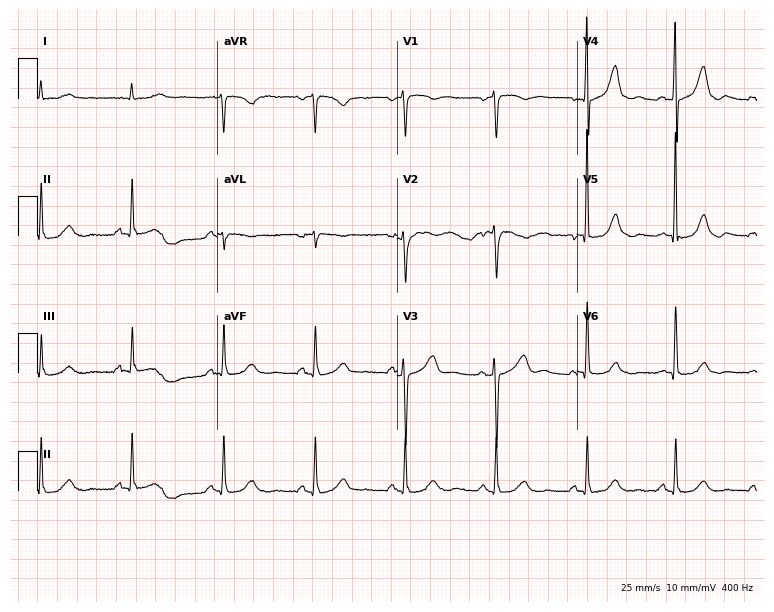
12-lead ECG from a male patient, 81 years old. Labelled as a normal ECG.